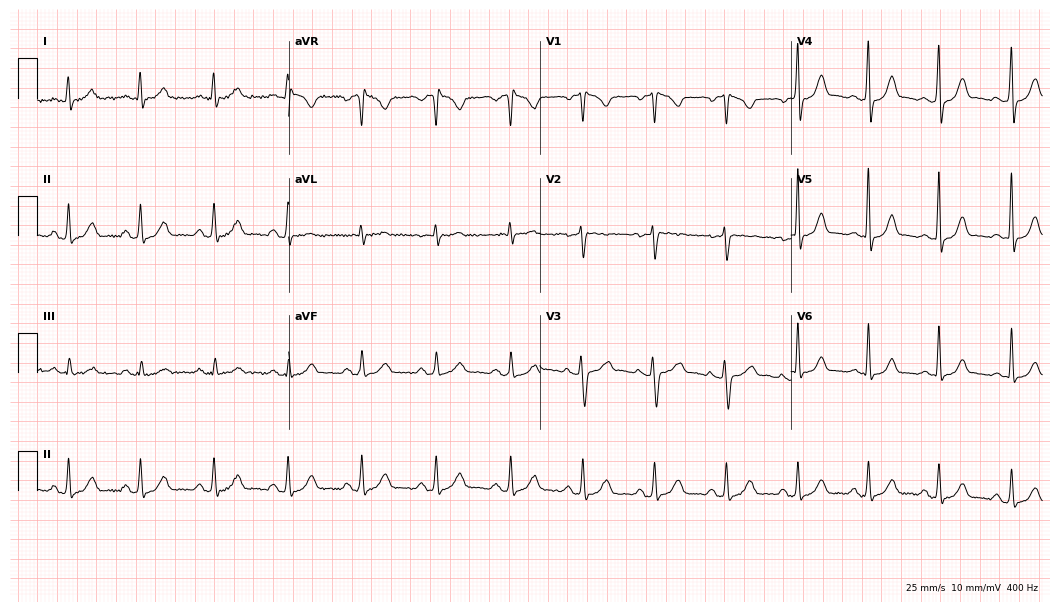
Resting 12-lead electrocardiogram (10.2-second recording at 400 Hz). Patient: a female, 28 years old. None of these six findings is recorded: first-degree AV block, right bundle branch block, left bundle branch block, sinus bradycardia, atrial fibrillation, sinus tachycardia.